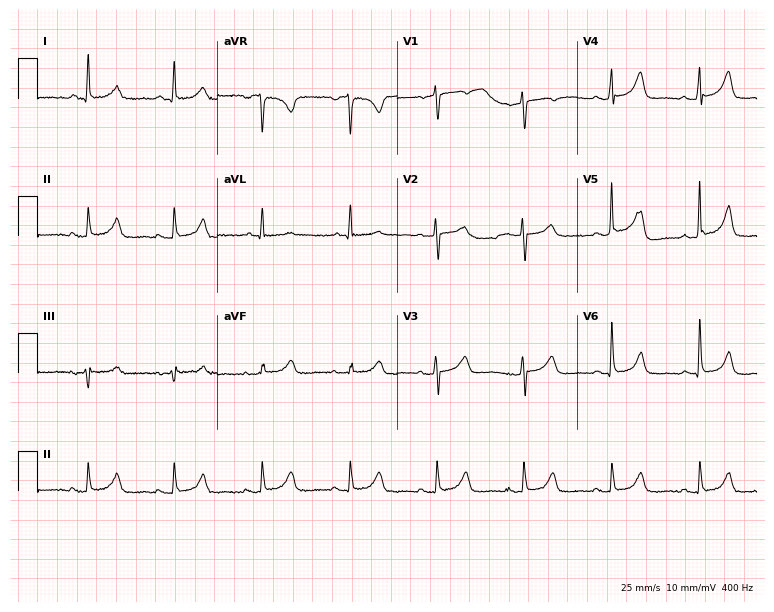
Resting 12-lead electrocardiogram. Patient: a female, 52 years old. None of these six findings is recorded: first-degree AV block, right bundle branch block (RBBB), left bundle branch block (LBBB), sinus bradycardia, atrial fibrillation (AF), sinus tachycardia.